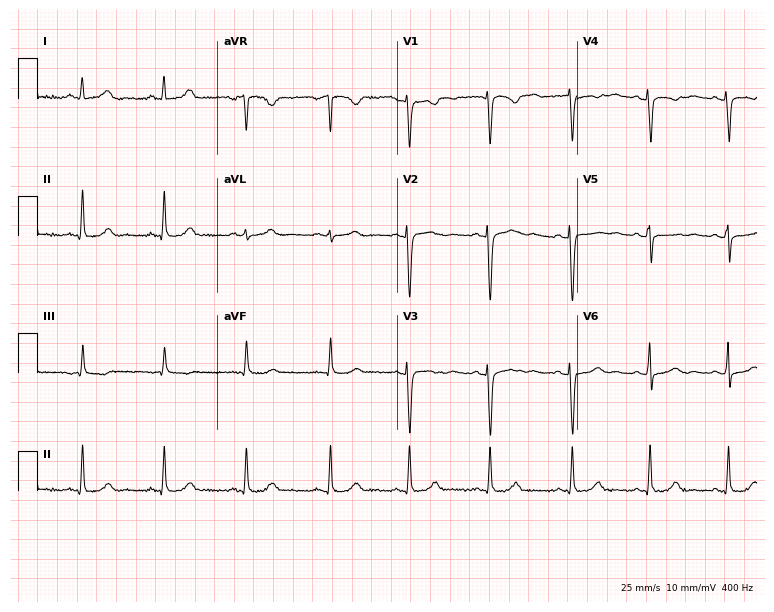
ECG (7.3-second recording at 400 Hz) — a female, 50 years old. Screened for six findings — first-degree AV block, right bundle branch block, left bundle branch block, sinus bradycardia, atrial fibrillation, sinus tachycardia — none is recorded. Other findings, if any, are not listed.